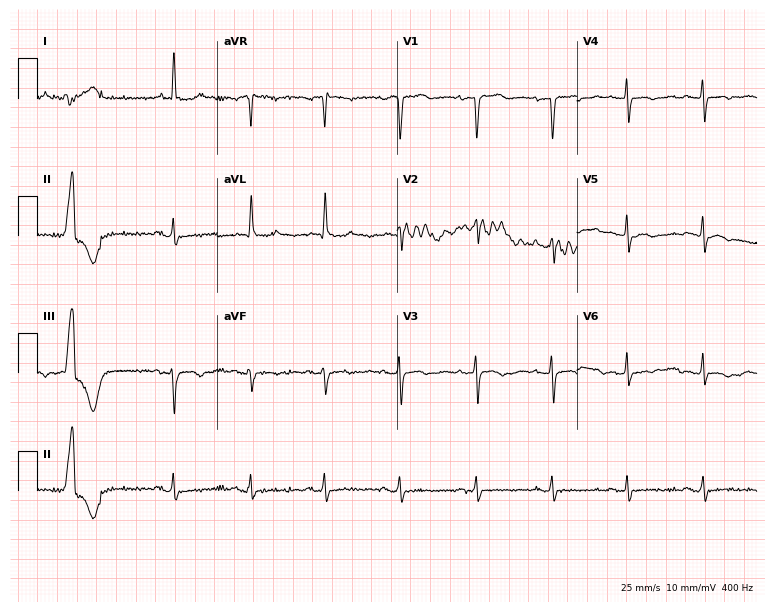
ECG (7.3-second recording at 400 Hz) — a female patient, 78 years old. Screened for six findings — first-degree AV block, right bundle branch block, left bundle branch block, sinus bradycardia, atrial fibrillation, sinus tachycardia — none is recorded. Other findings, if any, are not listed.